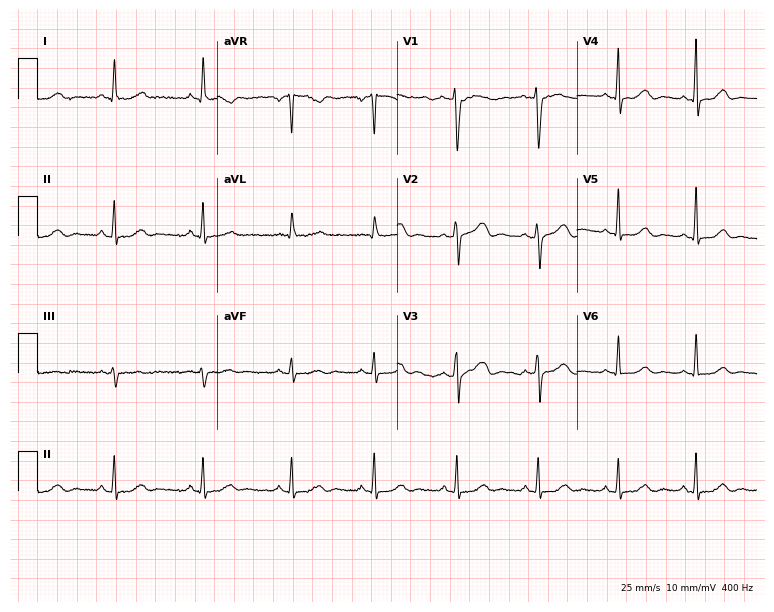
Resting 12-lead electrocardiogram (7.3-second recording at 400 Hz). Patient: a 44-year-old woman. None of these six findings is recorded: first-degree AV block, right bundle branch block, left bundle branch block, sinus bradycardia, atrial fibrillation, sinus tachycardia.